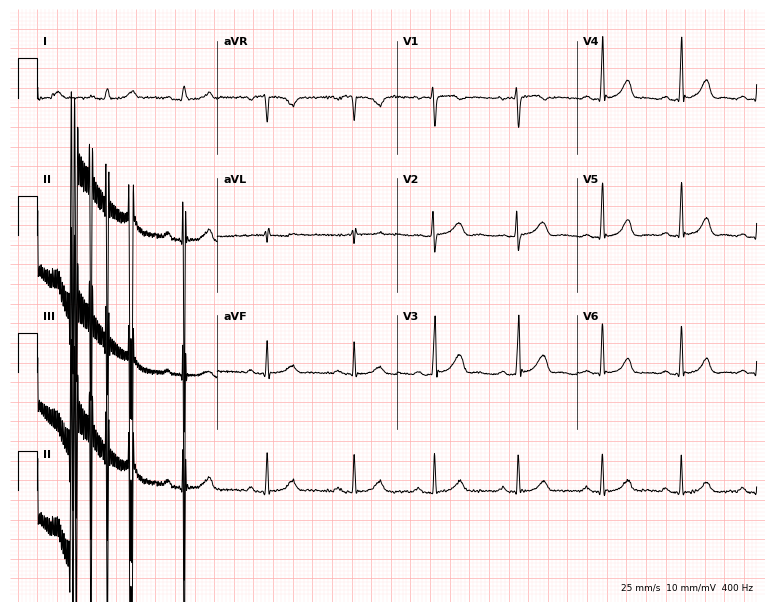
Standard 12-lead ECG recorded from a 27-year-old female patient (7.3-second recording at 400 Hz). None of these six findings is recorded: first-degree AV block, right bundle branch block, left bundle branch block, sinus bradycardia, atrial fibrillation, sinus tachycardia. Findings outside these six are not listed.